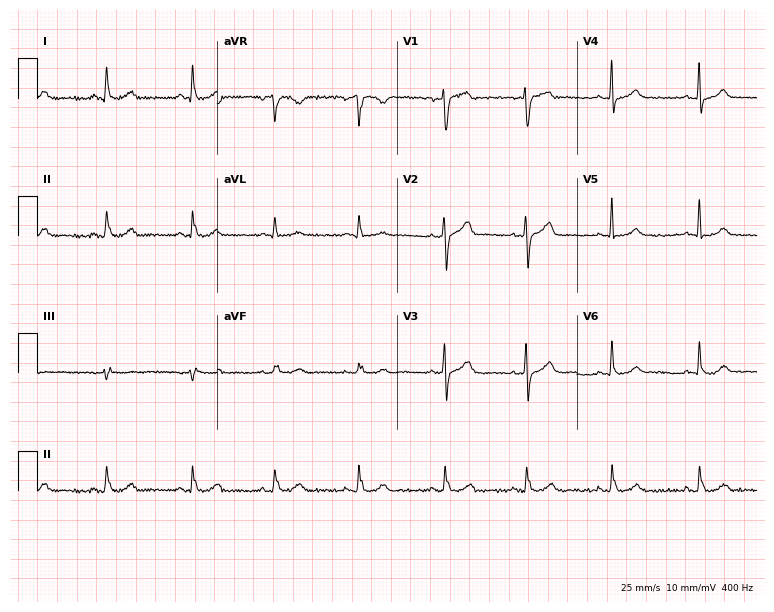
Standard 12-lead ECG recorded from a 51-year-old male. None of these six findings is recorded: first-degree AV block, right bundle branch block, left bundle branch block, sinus bradycardia, atrial fibrillation, sinus tachycardia. Findings outside these six are not listed.